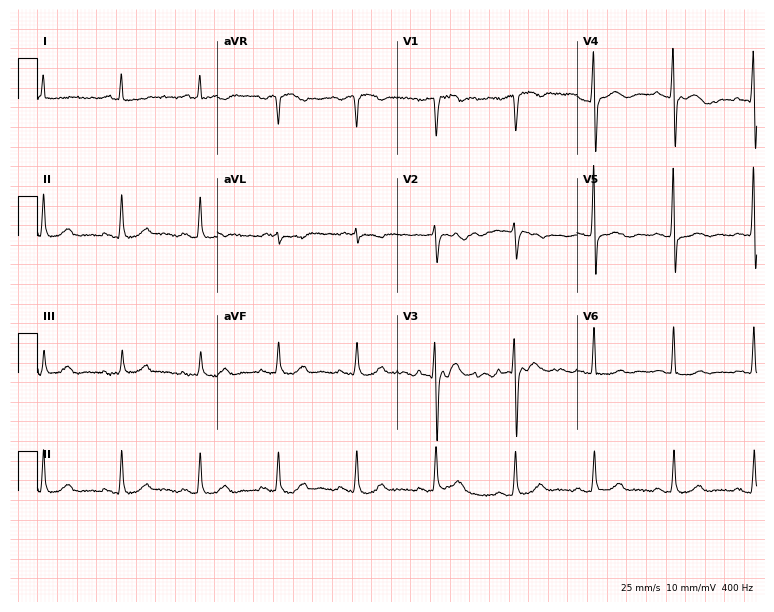
ECG (7.3-second recording at 400 Hz) — a male patient, 72 years old. Screened for six findings — first-degree AV block, right bundle branch block (RBBB), left bundle branch block (LBBB), sinus bradycardia, atrial fibrillation (AF), sinus tachycardia — none is recorded.